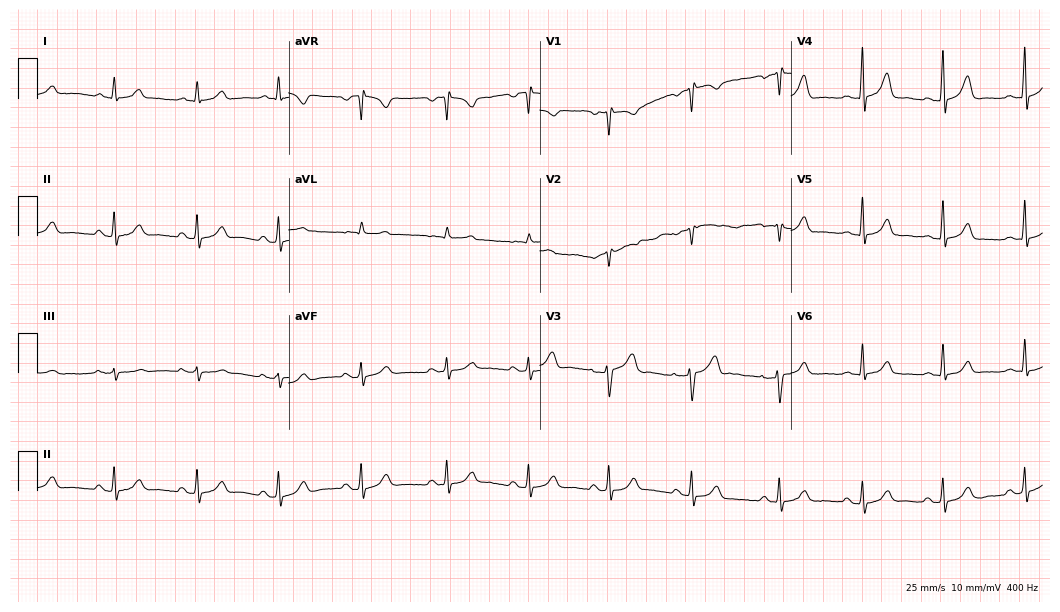
Electrocardiogram, a woman, 46 years old. Overall reading on record: normal ECG.